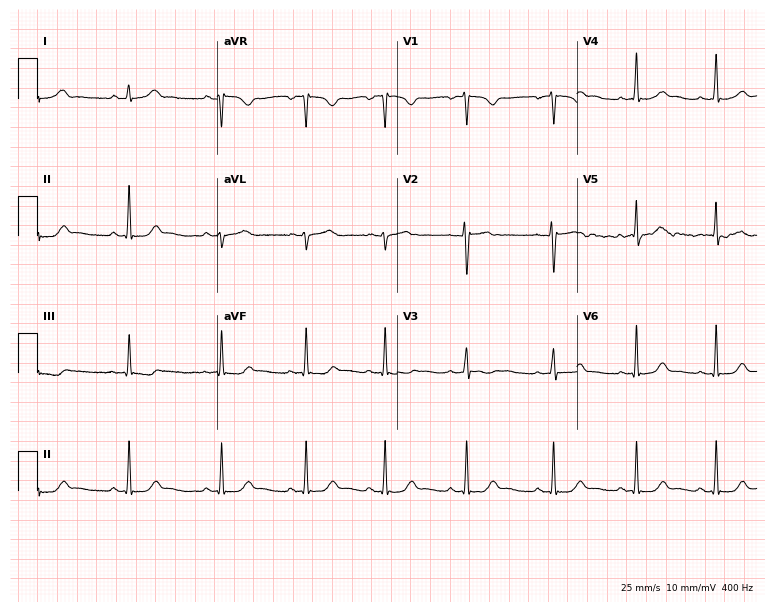
12-lead ECG (7.3-second recording at 400 Hz) from a woman, 24 years old. Labelled as a normal ECG.